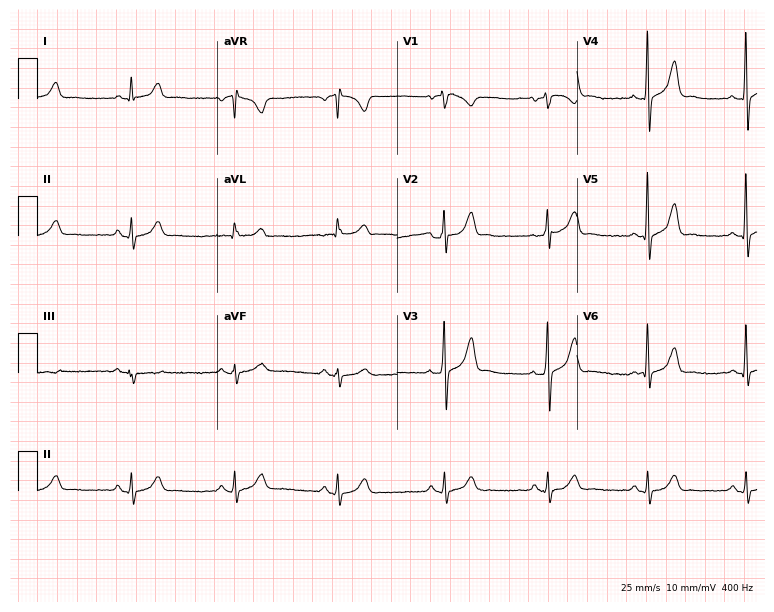
Electrocardiogram, a 41-year-old male. Overall reading on record: normal ECG.